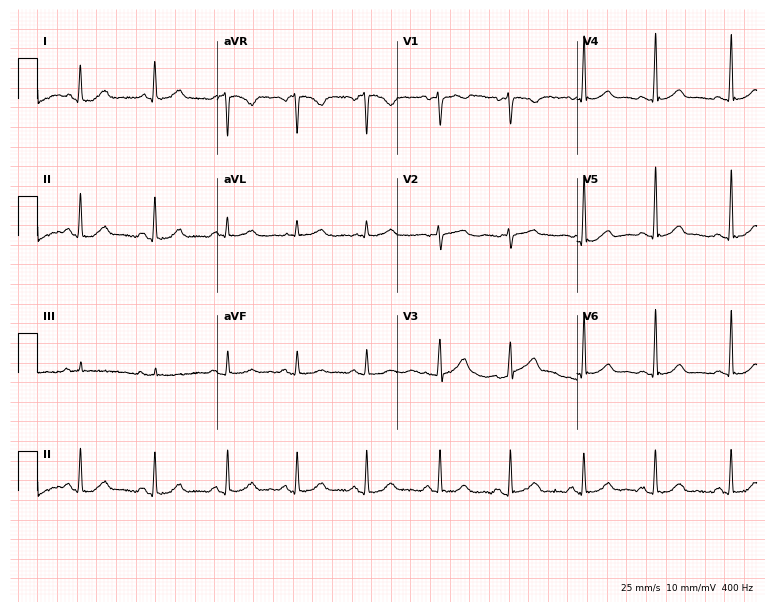
ECG (7.3-second recording at 400 Hz) — a female patient, 49 years old. Labelled as a normal ECG.